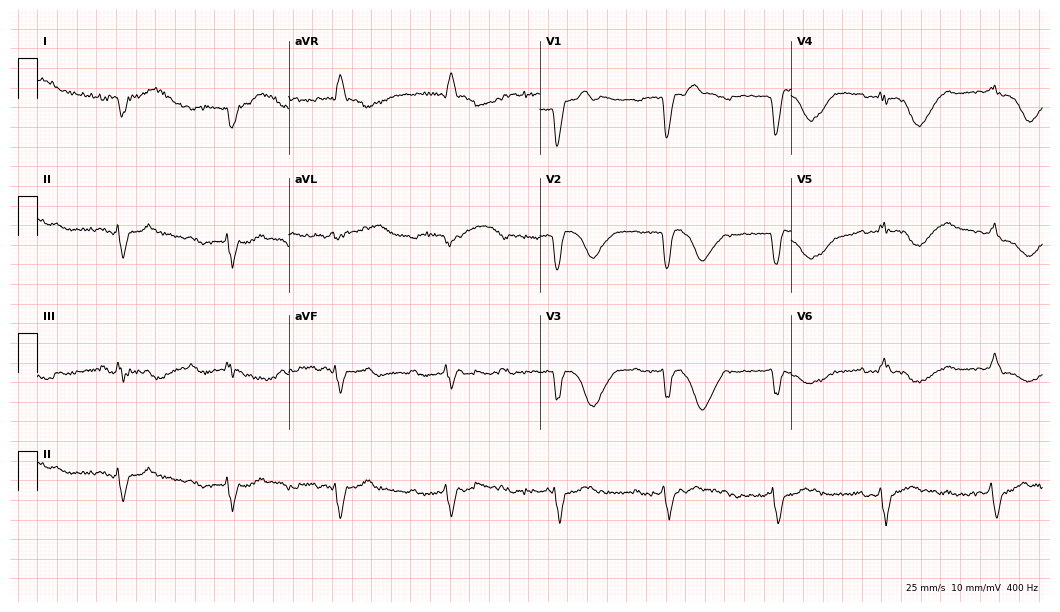
12-lead ECG from a 69-year-old male. Screened for six findings — first-degree AV block, right bundle branch block, left bundle branch block, sinus bradycardia, atrial fibrillation, sinus tachycardia — none is recorded. Findings outside these six are not listed.